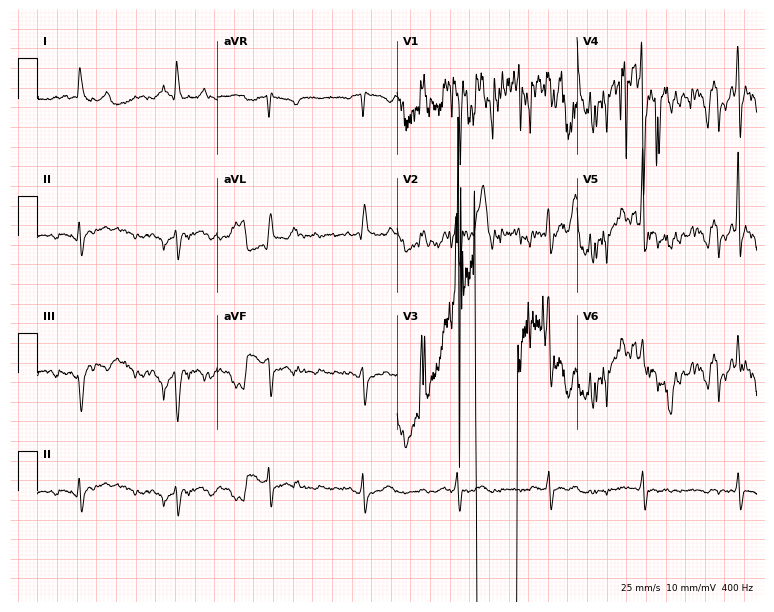
Standard 12-lead ECG recorded from a man, 70 years old. None of these six findings is recorded: first-degree AV block, right bundle branch block (RBBB), left bundle branch block (LBBB), sinus bradycardia, atrial fibrillation (AF), sinus tachycardia. Only these six findings were labelled.